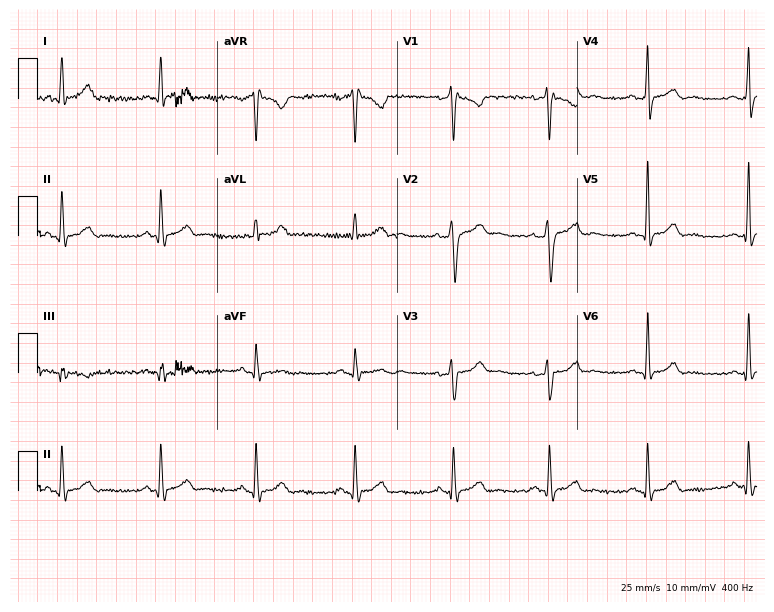
ECG — a man, 35 years old. Screened for six findings — first-degree AV block, right bundle branch block (RBBB), left bundle branch block (LBBB), sinus bradycardia, atrial fibrillation (AF), sinus tachycardia — none is recorded. Other findings, if any, are not listed.